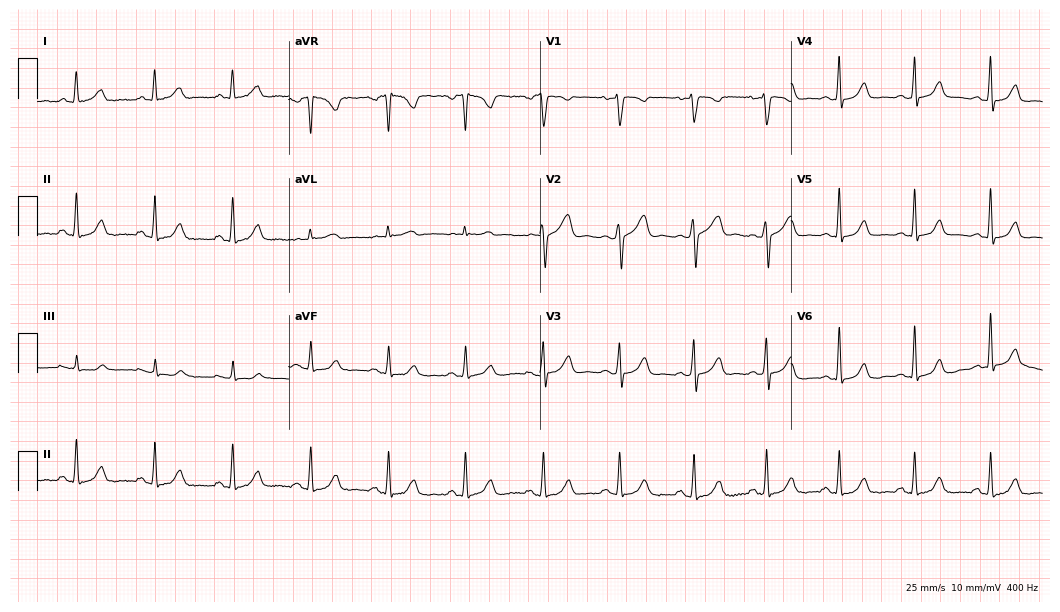
Resting 12-lead electrocardiogram. Patient: a 42-year-old female. Read as a normal ECG.